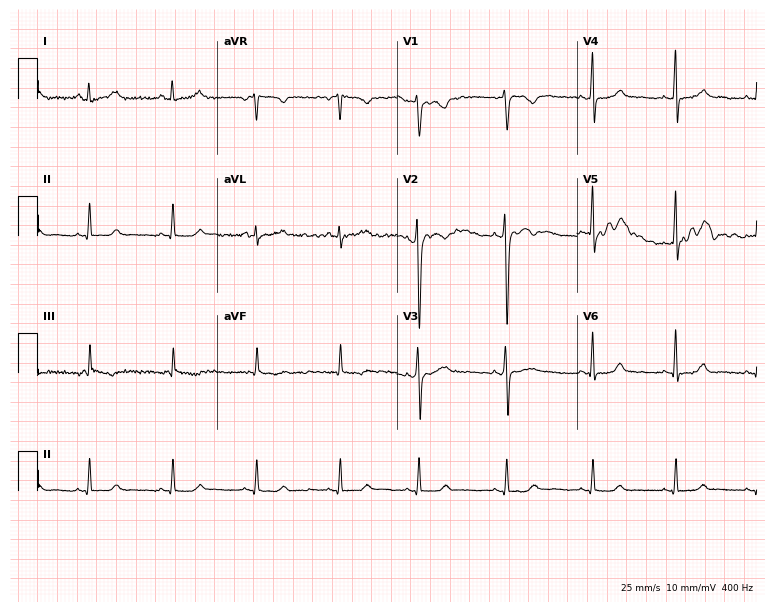
Standard 12-lead ECG recorded from a female, 28 years old. None of these six findings is recorded: first-degree AV block, right bundle branch block, left bundle branch block, sinus bradycardia, atrial fibrillation, sinus tachycardia. Other findings, if any, are not listed.